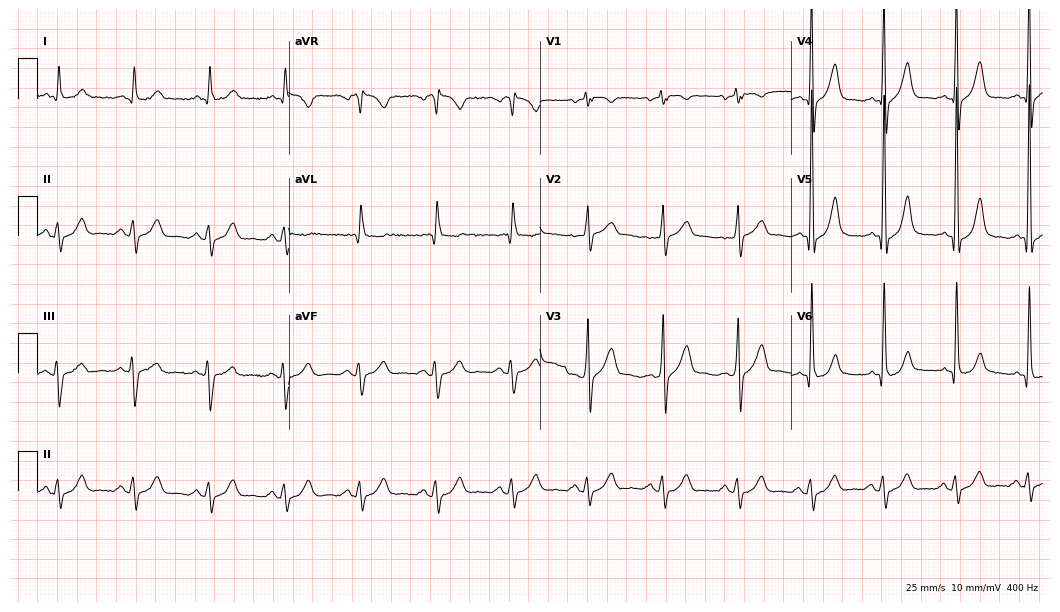
12-lead ECG from a male patient, 66 years old. Screened for six findings — first-degree AV block, right bundle branch block, left bundle branch block, sinus bradycardia, atrial fibrillation, sinus tachycardia — none is recorded. Only these six findings were labelled.